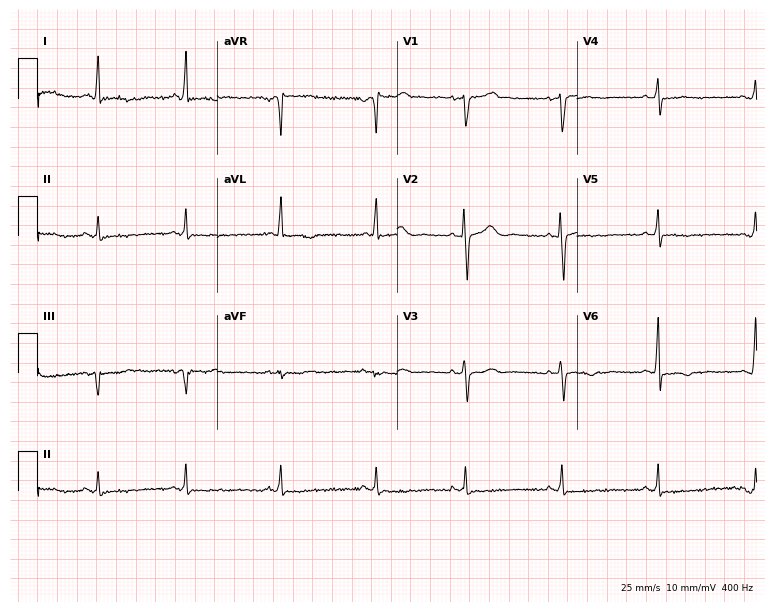
Standard 12-lead ECG recorded from a female patient, 50 years old. None of these six findings is recorded: first-degree AV block, right bundle branch block (RBBB), left bundle branch block (LBBB), sinus bradycardia, atrial fibrillation (AF), sinus tachycardia. Only these six findings were labelled.